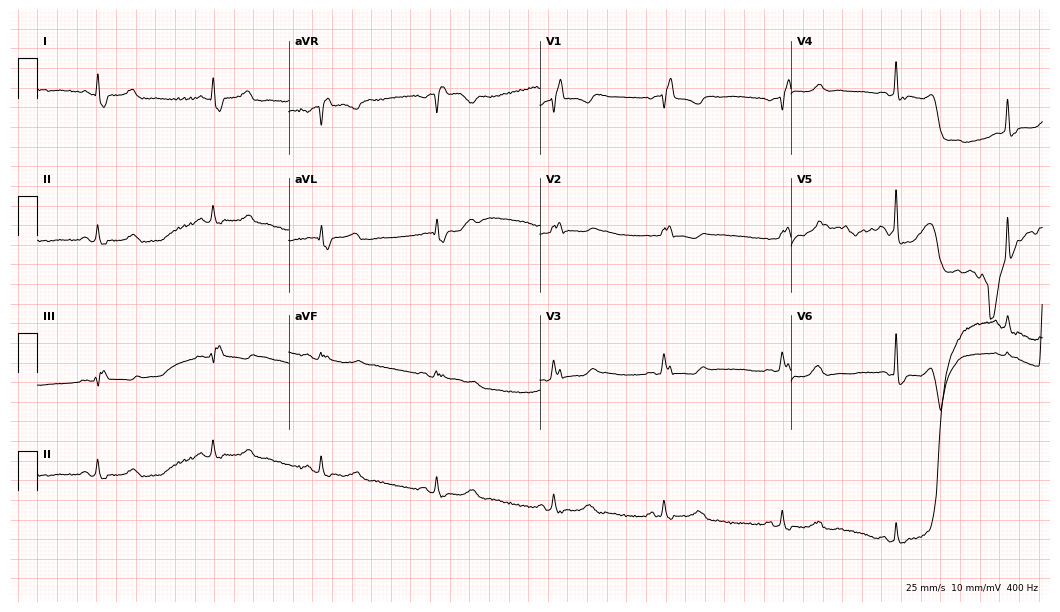
ECG — an 81-year-old woman. Screened for six findings — first-degree AV block, right bundle branch block, left bundle branch block, sinus bradycardia, atrial fibrillation, sinus tachycardia — none is recorded.